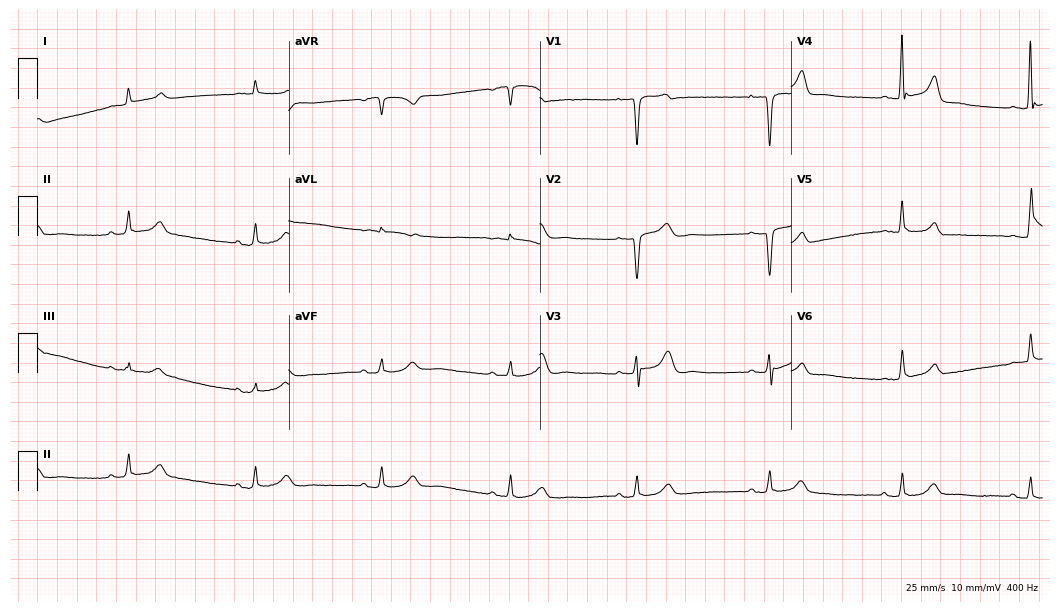
12-lead ECG (10.2-second recording at 400 Hz) from a man, 60 years old. Screened for six findings — first-degree AV block, right bundle branch block (RBBB), left bundle branch block (LBBB), sinus bradycardia, atrial fibrillation (AF), sinus tachycardia — none is recorded.